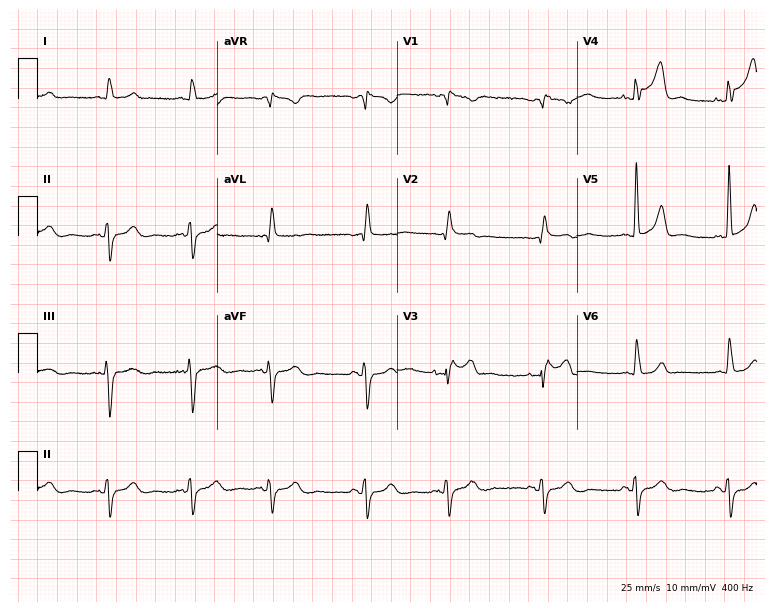
12-lead ECG (7.3-second recording at 400 Hz) from a male, 80 years old. Screened for six findings — first-degree AV block, right bundle branch block, left bundle branch block, sinus bradycardia, atrial fibrillation, sinus tachycardia — none is recorded.